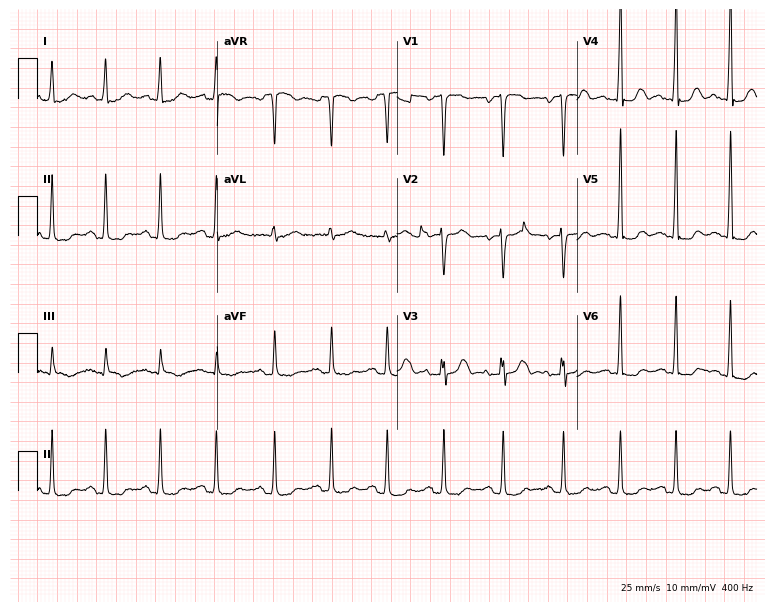
Electrocardiogram, a woman, 60 years old. Interpretation includes sinus tachycardia (a sinus rate of 100 beats per minute or more).